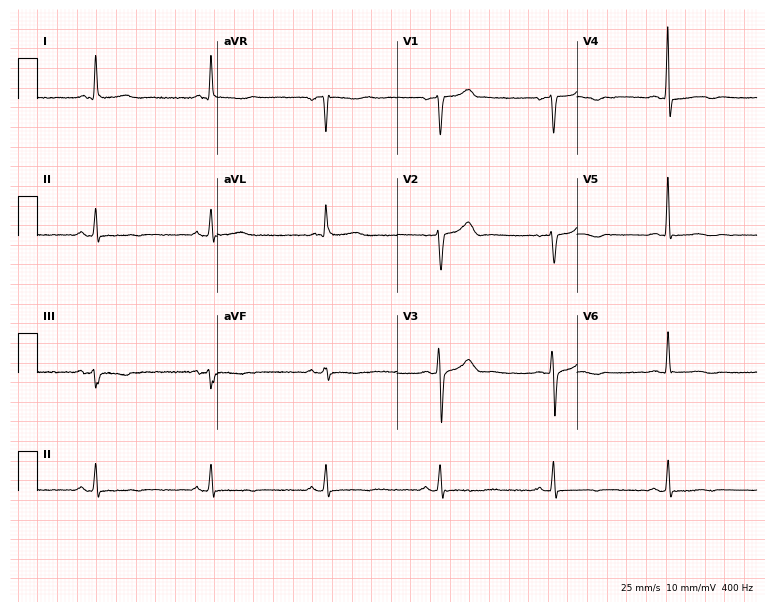
Electrocardiogram (7.3-second recording at 400 Hz), a man, 65 years old. Of the six screened findings (first-degree AV block, right bundle branch block (RBBB), left bundle branch block (LBBB), sinus bradycardia, atrial fibrillation (AF), sinus tachycardia), none is recorded. Findings outside these six are not listed.